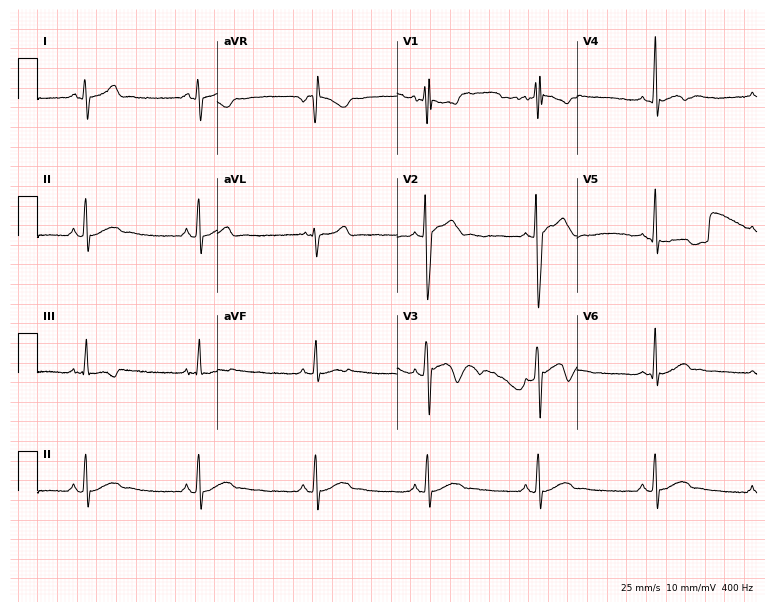
12-lead ECG (7.3-second recording at 400 Hz) from a man, 17 years old. Screened for six findings — first-degree AV block, right bundle branch block, left bundle branch block, sinus bradycardia, atrial fibrillation, sinus tachycardia — none is recorded.